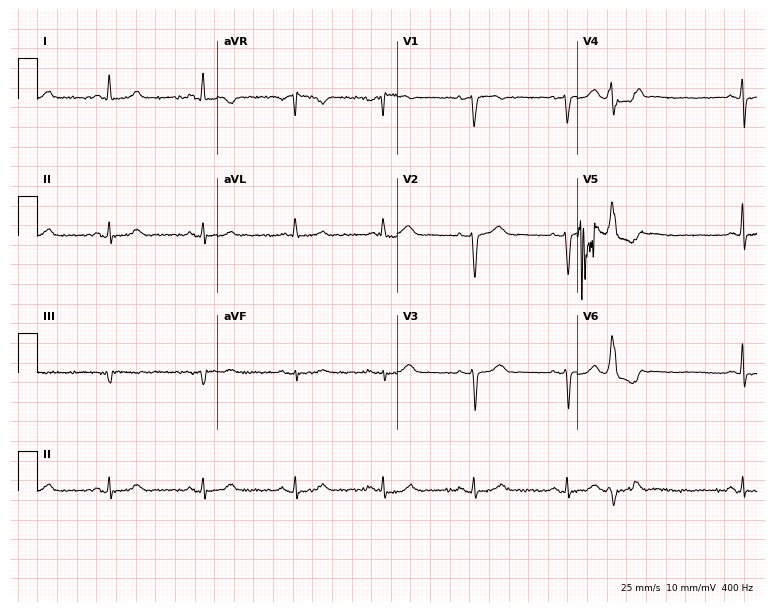
12-lead ECG (7.3-second recording at 400 Hz) from a 50-year-old female. Screened for six findings — first-degree AV block, right bundle branch block, left bundle branch block, sinus bradycardia, atrial fibrillation, sinus tachycardia — none is recorded. Findings outside these six are not listed.